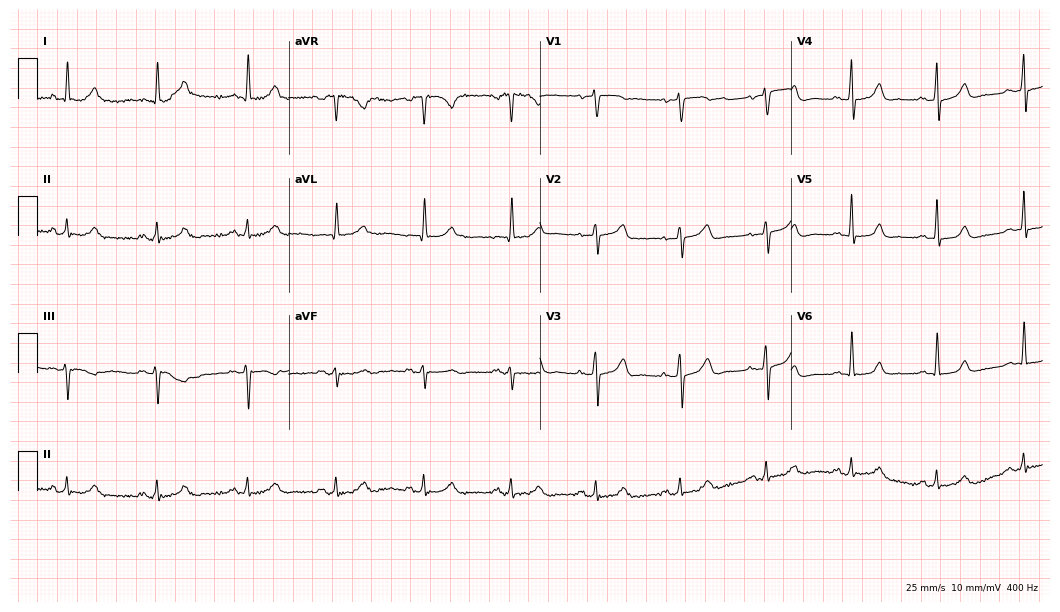
12-lead ECG from a female patient, 70 years old. Labelled as a normal ECG.